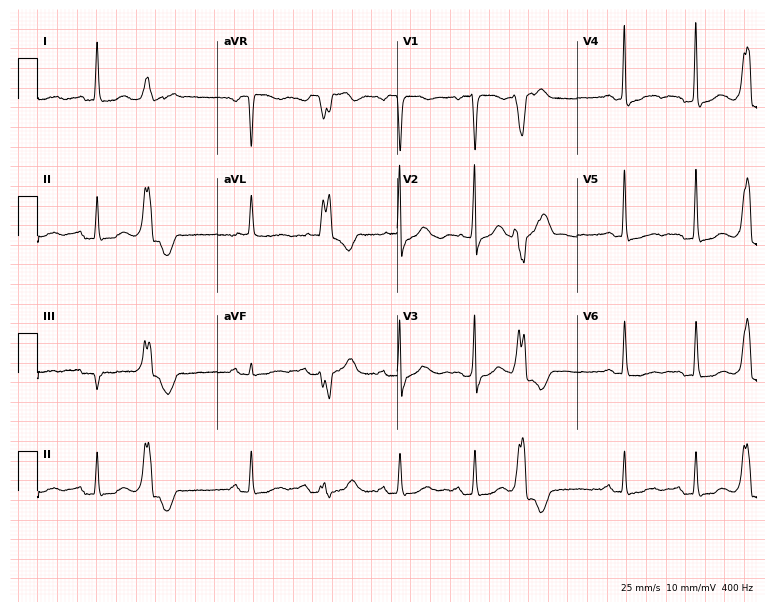
12-lead ECG from an 80-year-old female. No first-degree AV block, right bundle branch block (RBBB), left bundle branch block (LBBB), sinus bradycardia, atrial fibrillation (AF) or sinus tachycardia recorded for this tracing.